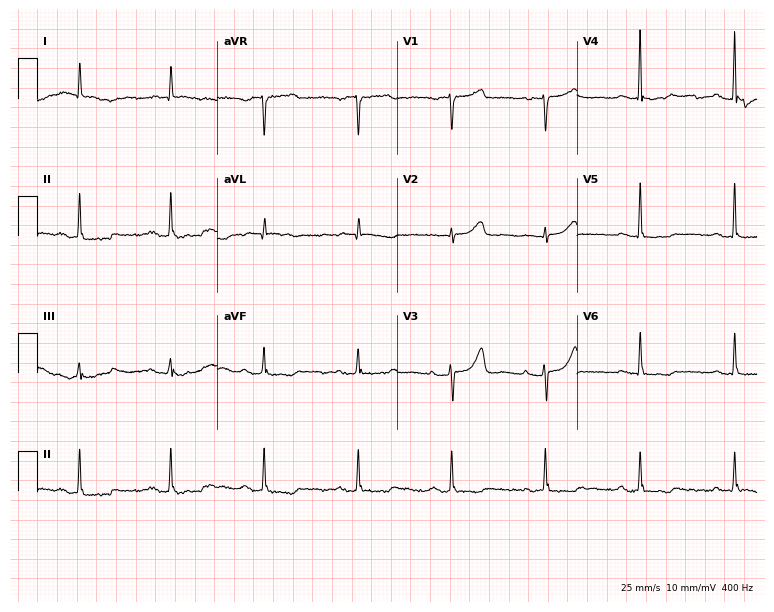
Resting 12-lead electrocardiogram (7.3-second recording at 400 Hz). Patient: a 74-year-old woman. None of these six findings is recorded: first-degree AV block, right bundle branch block, left bundle branch block, sinus bradycardia, atrial fibrillation, sinus tachycardia. Other findings, if any, are not listed.